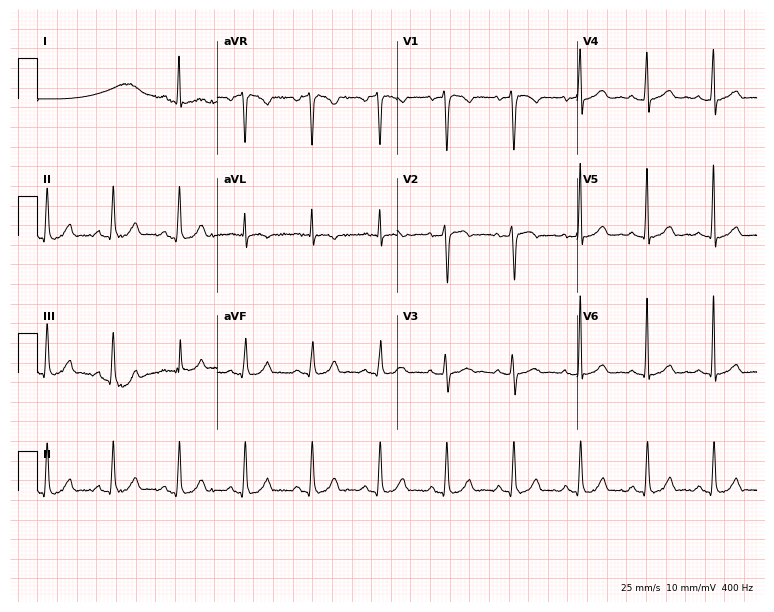
12-lead ECG (7.3-second recording at 400 Hz) from a 46-year-old female patient. Screened for six findings — first-degree AV block, right bundle branch block (RBBB), left bundle branch block (LBBB), sinus bradycardia, atrial fibrillation (AF), sinus tachycardia — none is recorded. Findings outside these six are not listed.